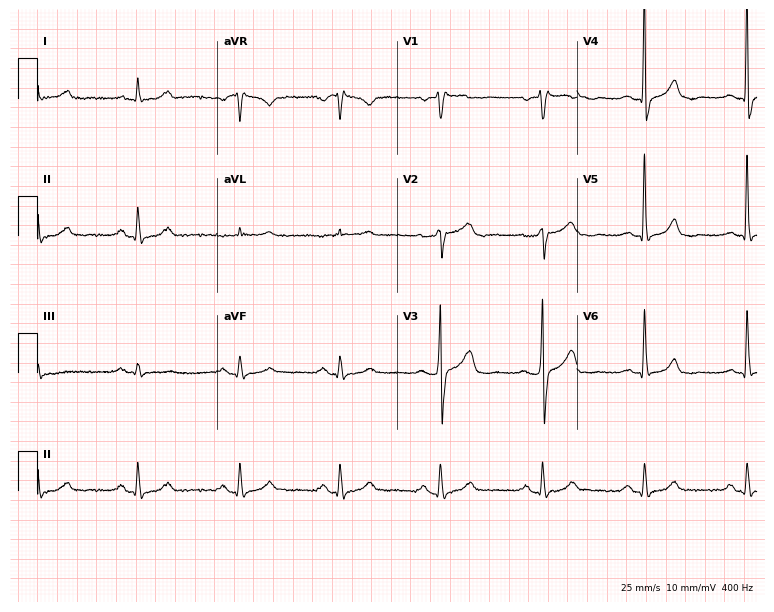
Standard 12-lead ECG recorded from a male patient, 67 years old. None of these six findings is recorded: first-degree AV block, right bundle branch block (RBBB), left bundle branch block (LBBB), sinus bradycardia, atrial fibrillation (AF), sinus tachycardia.